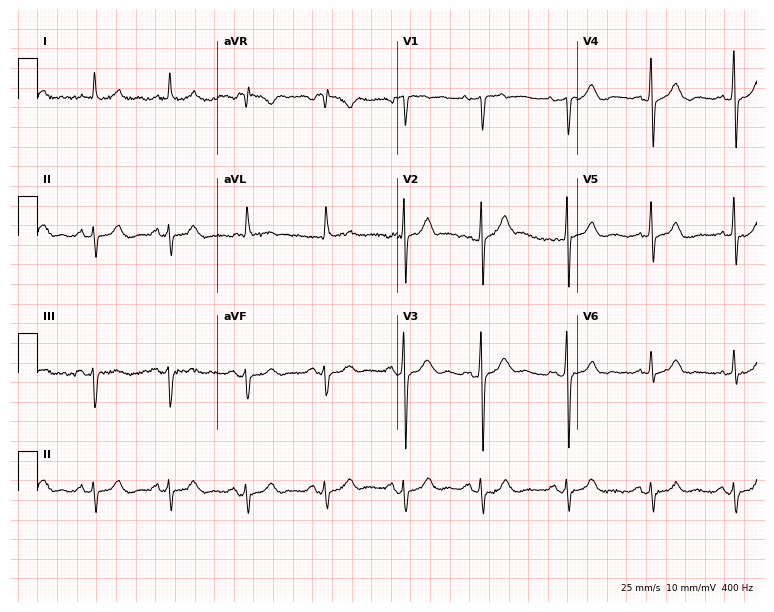
12-lead ECG from a man, 56 years old (7.3-second recording at 400 Hz). No first-degree AV block, right bundle branch block (RBBB), left bundle branch block (LBBB), sinus bradycardia, atrial fibrillation (AF) or sinus tachycardia recorded for this tracing.